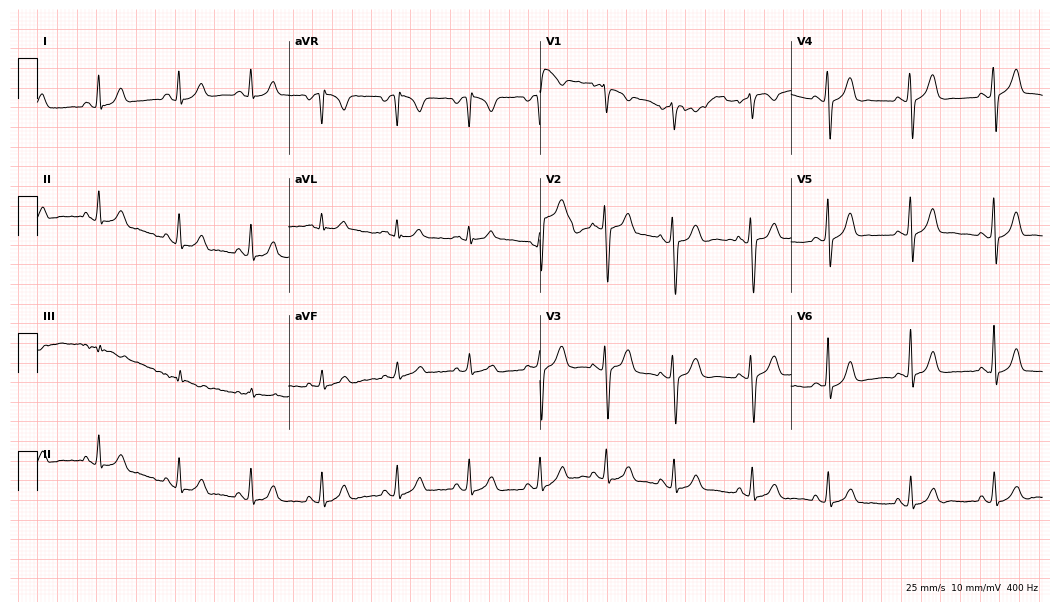
Resting 12-lead electrocardiogram (10.2-second recording at 400 Hz). Patient: a female, 32 years old. Read as a normal ECG.